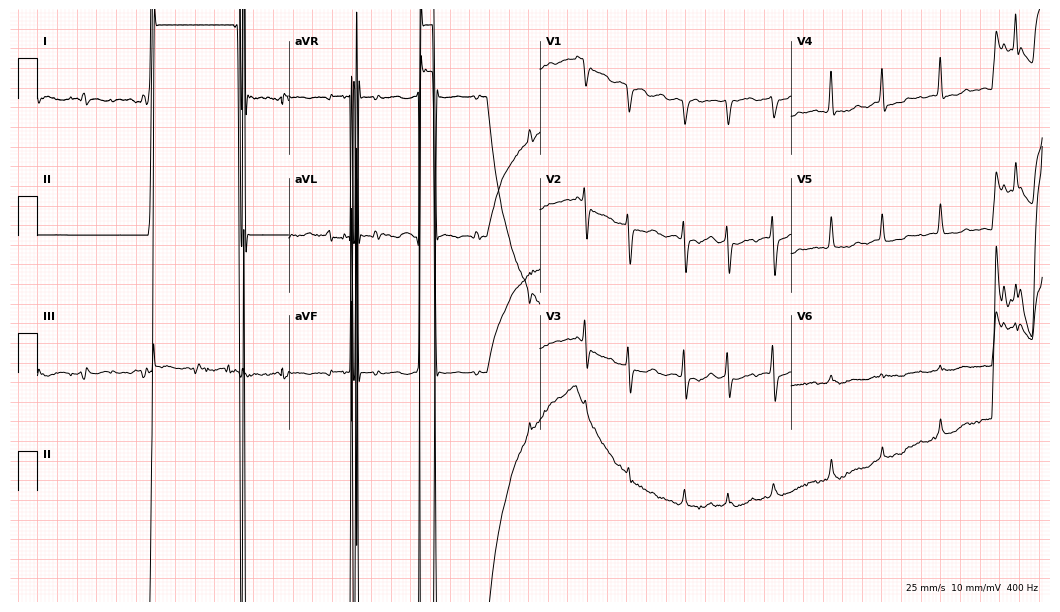
Electrocardiogram, a 67-year-old female patient. Of the six screened findings (first-degree AV block, right bundle branch block, left bundle branch block, sinus bradycardia, atrial fibrillation, sinus tachycardia), none is recorded. Only these six findings were labelled.